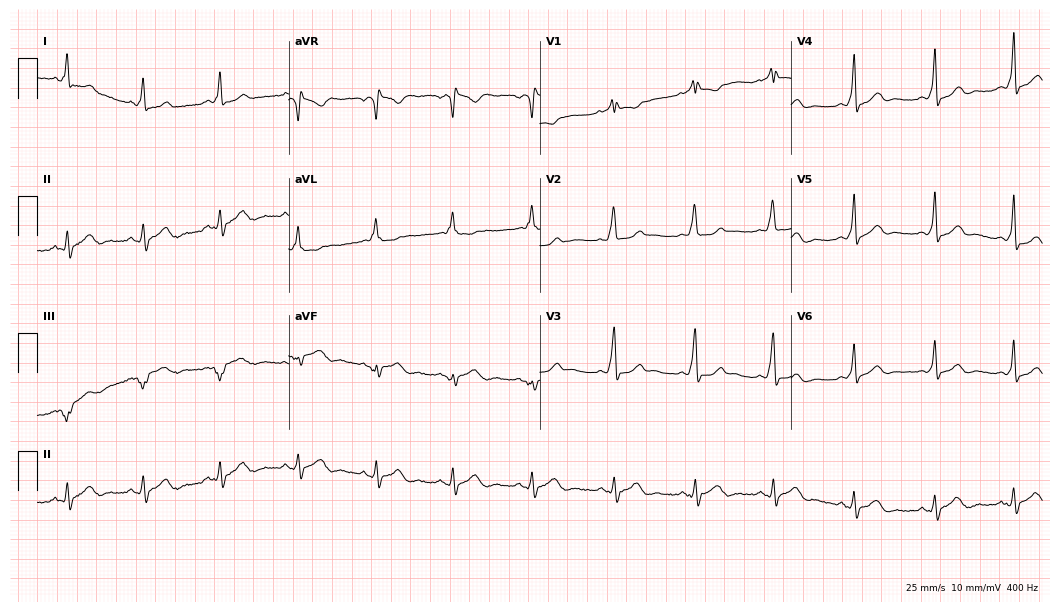
12-lead ECG from a female patient, 41 years old (10.2-second recording at 400 Hz). No first-degree AV block, right bundle branch block (RBBB), left bundle branch block (LBBB), sinus bradycardia, atrial fibrillation (AF) or sinus tachycardia recorded for this tracing.